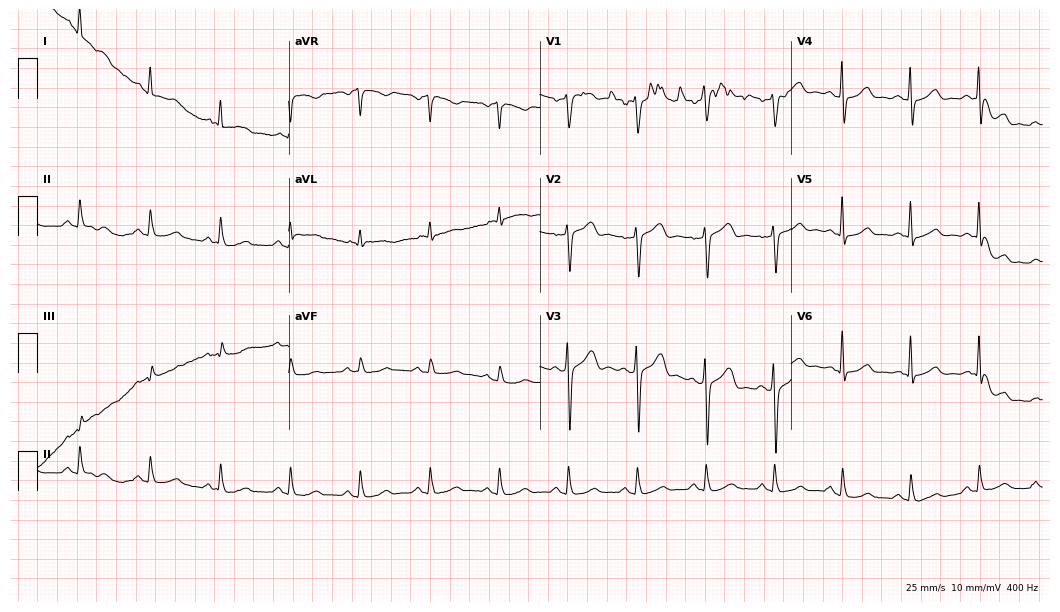
Standard 12-lead ECG recorded from a 62-year-old male patient. None of these six findings is recorded: first-degree AV block, right bundle branch block (RBBB), left bundle branch block (LBBB), sinus bradycardia, atrial fibrillation (AF), sinus tachycardia.